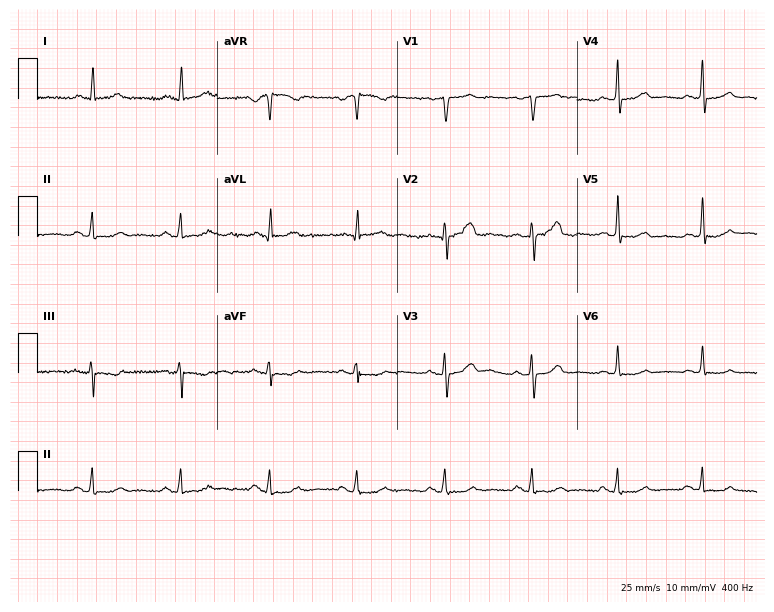
12-lead ECG from a 43-year-old female. Recorded interpretation: within normal limits.